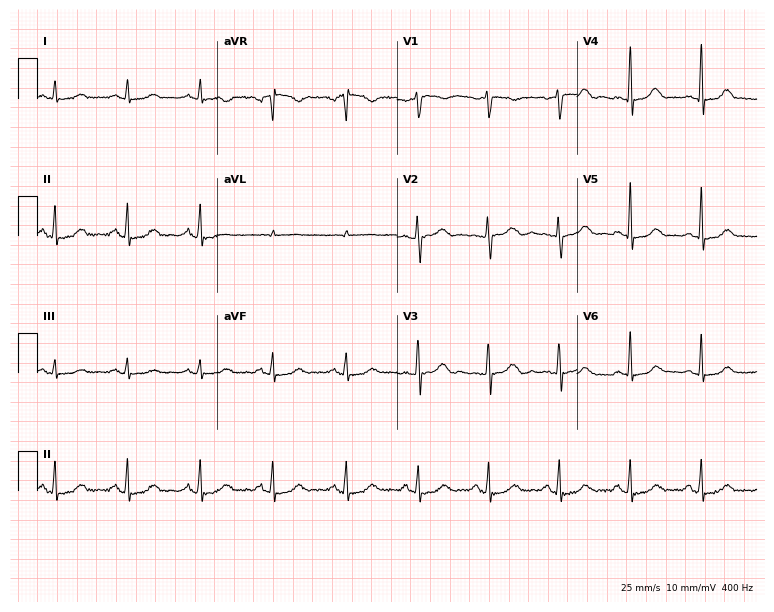
Standard 12-lead ECG recorded from a woman, 53 years old (7.3-second recording at 400 Hz). None of these six findings is recorded: first-degree AV block, right bundle branch block, left bundle branch block, sinus bradycardia, atrial fibrillation, sinus tachycardia. Other findings, if any, are not listed.